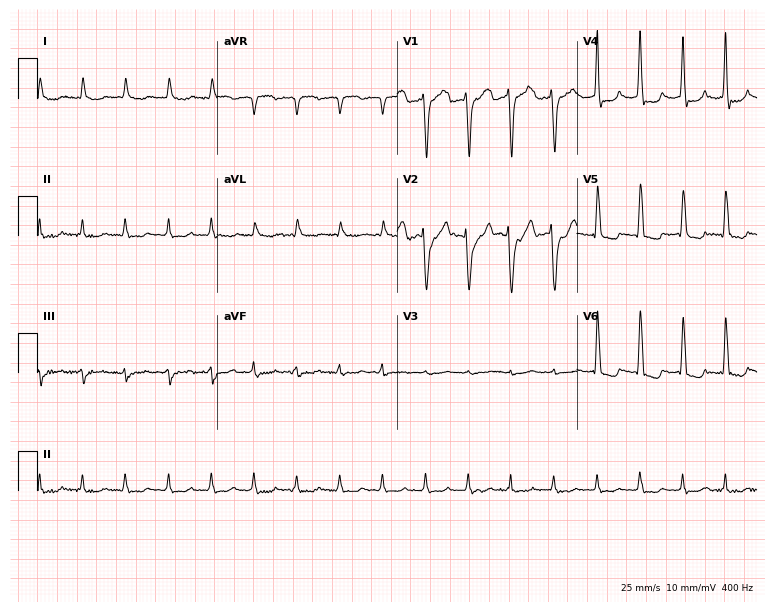
Resting 12-lead electrocardiogram. Patient: an 85-year-old man. The tracing shows atrial fibrillation (AF).